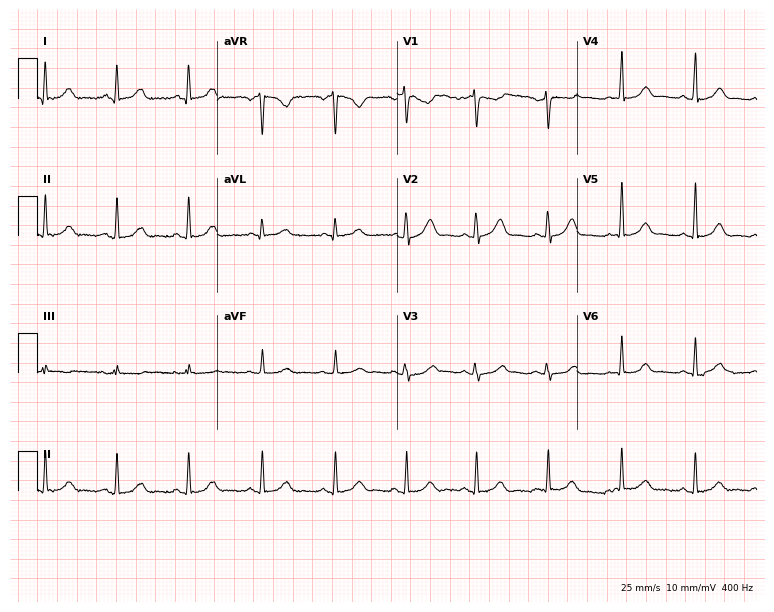
Electrocardiogram (7.3-second recording at 400 Hz), a 43-year-old female patient. Overall reading on record: normal ECG.